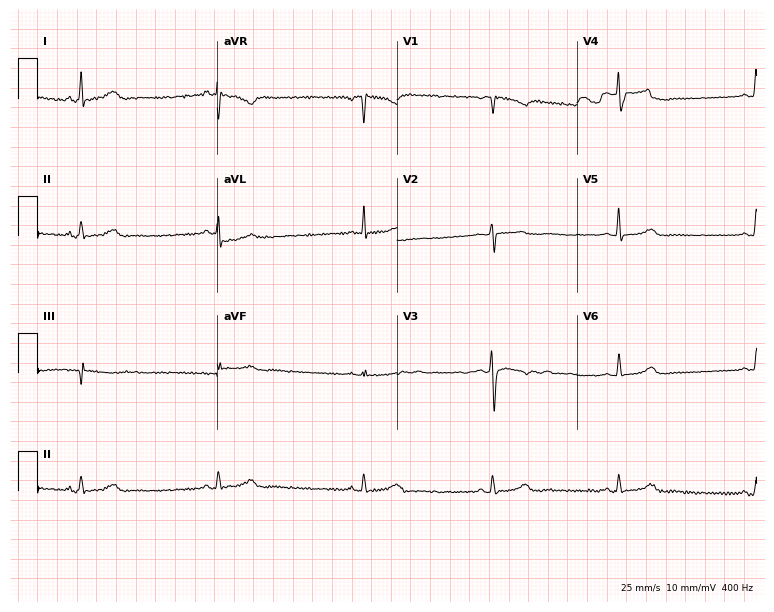
Electrocardiogram, a woman, 38 years old. Interpretation includes sinus bradycardia (a sinus rate of 50 beats per minute or less).